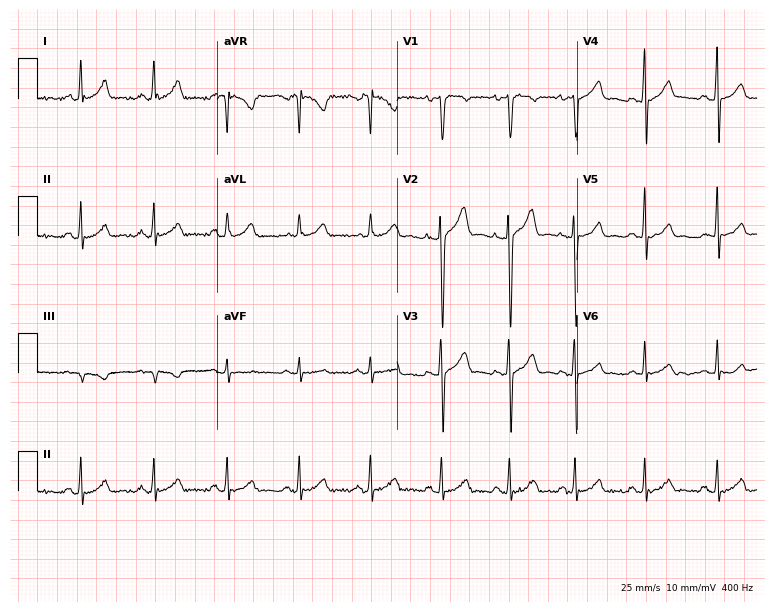
Standard 12-lead ECG recorded from a 31-year-old male (7.3-second recording at 400 Hz). Read as a normal ECG.